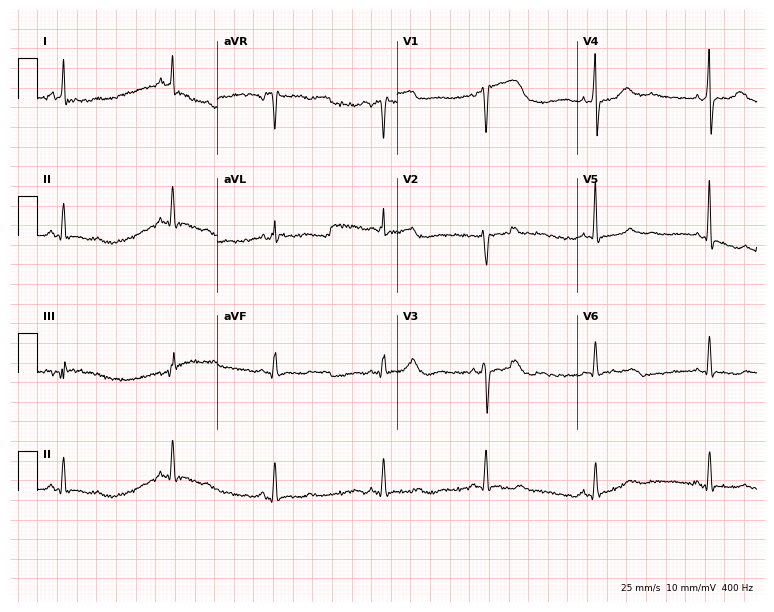
Resting 12-lead electrocardiogram (7.3-second recording at 400 Hz). Patient: a female, 50 years old. None of these six findings is recorded: first-degree AV block, right bundle branch block (RBBB), left bundle branch block (LBBB), sinus bradycardia, atrial fibrillation (AF), sinus tachycardia. Only these six findings were labelled.